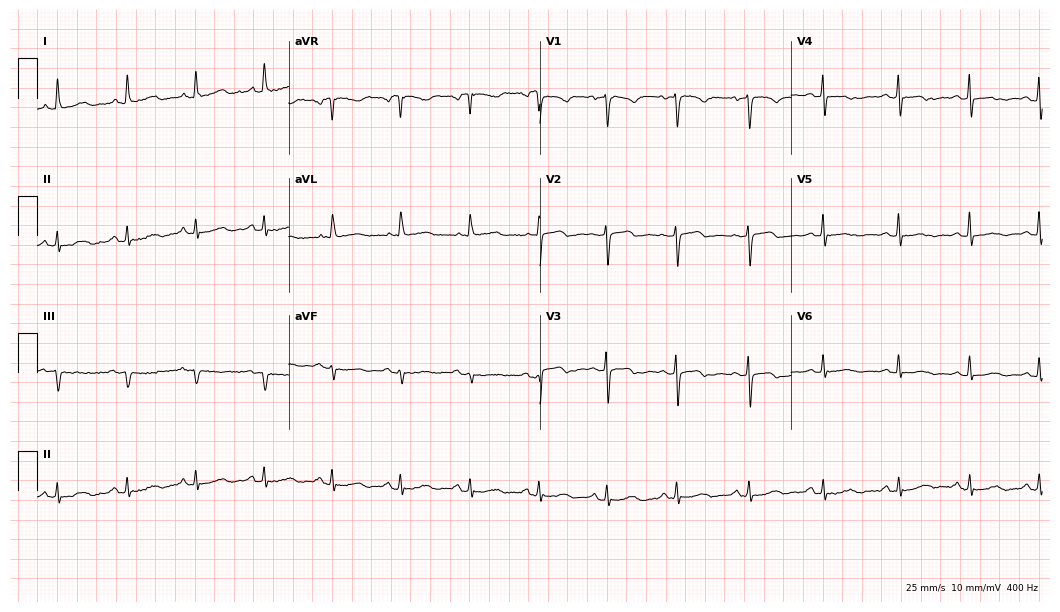
12-lead ECG from a 79-year-old female. Screened for six findings — first-degree AV block, right bundle branch block, left bundle branch block, sinus bradycardia, atrial fibrillation, sinus tachycardia — none is recorded. Only these six findings were labelled.